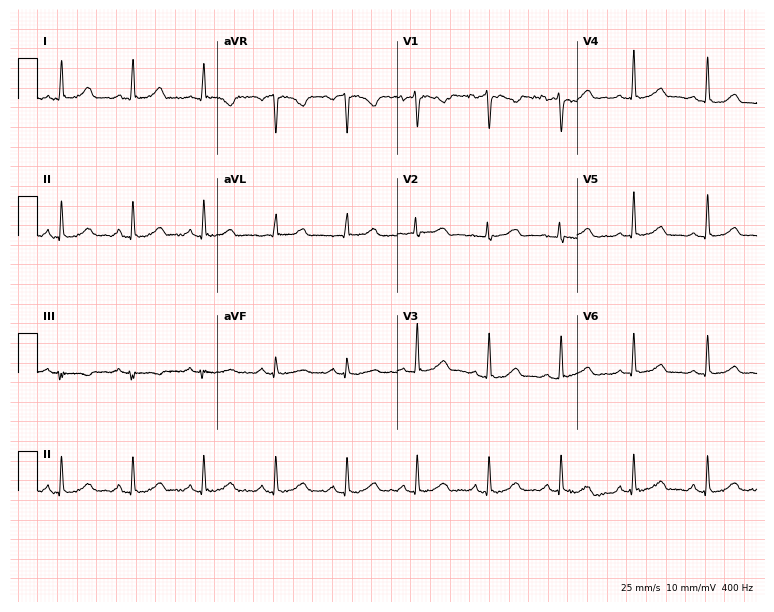
12-lead ECG from a 35-year-old female patient (7.3-second recording at 400 Hz). Recorded interpretation: within normal limits.